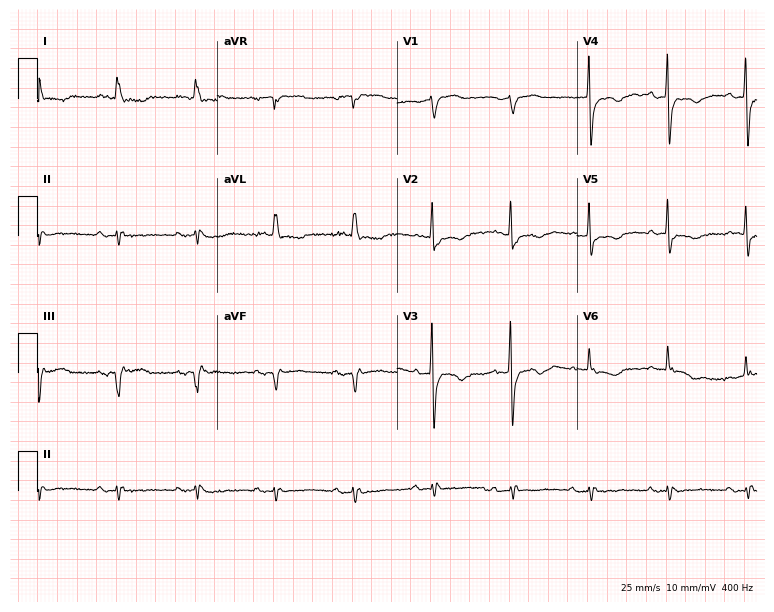
Resting 12-lead electrocardiogram. Patient: a male, 77 years old. None of these six findings is recorded: first-degree AV block, right bundle branch block, left bundle branch block, sinus bradycardia, atrial fibrillation, sinus tachycardia. Findings outside these six are not listed.